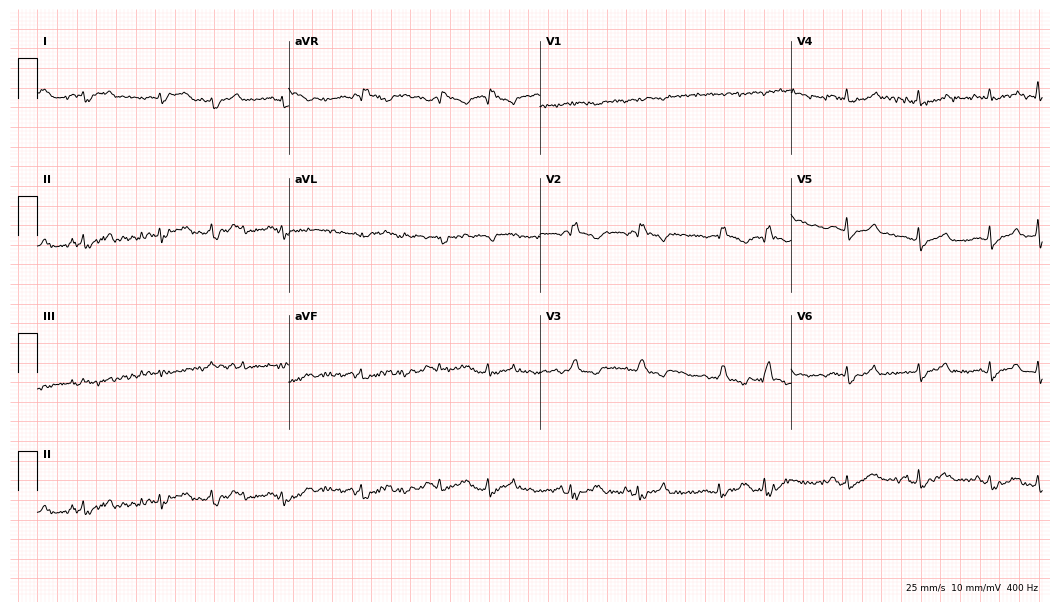
Electrocardiogram (10.2-second recording at 400 Hz), a 70-year-old man. Interpretation includes right bundle branch block (RBBB).